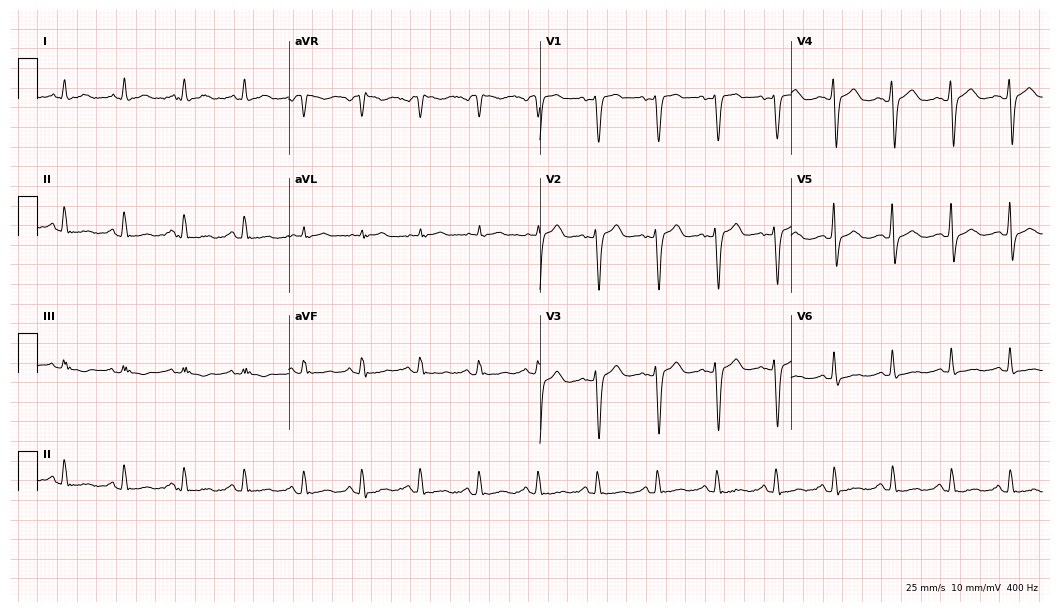
12-lead ECG from a female, 36 years old (10.2-second recording at 400 Hz). Recorded interpretation: within normal limits.